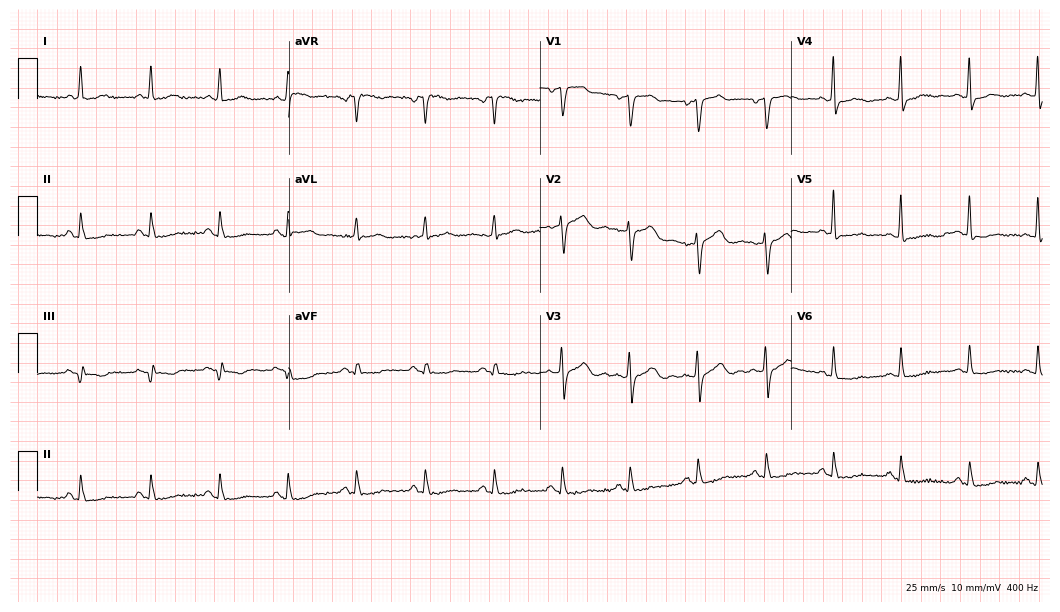
12-lead ECG from a male, 66 years old (10.2-second recording at 400 Hz). No first-degree AV block, right bundle branch block, left bundle branch block, sinus bradycardia, atrial fibrillation or sinus tachycardia recorded for this tracing.